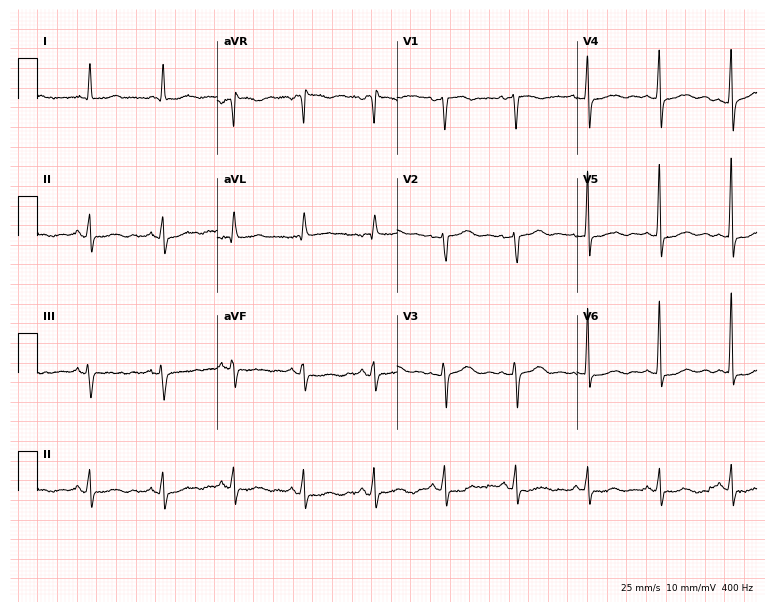
ECG — a 51-year-old woman. Screened for six findings — first-degree AV block, right bundle branch block (RBBB), left bundle branch block (LBBB), sinus bradycardia, atrial fibrillation (AF), sinus tachycardia — none is recorded. Only these six findings were labelled.